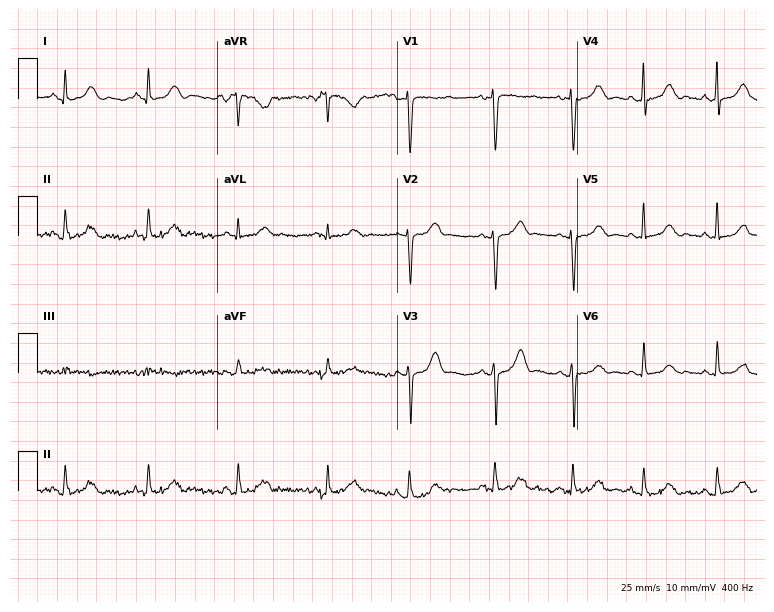
Electrocardiogram, a female, 24 years old. Overall reading on record: normal ECG.